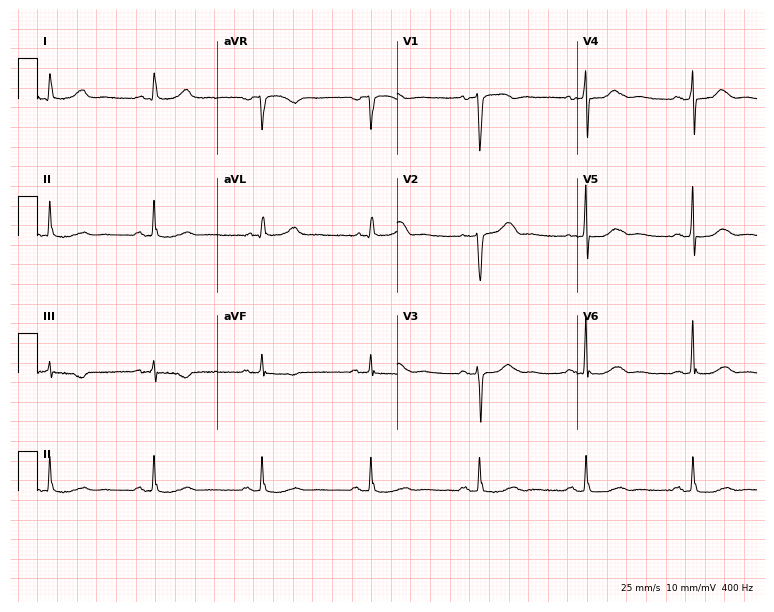
Standard 12-lead ECG recorded from a woman, 62 years old (7.3-second recording at 400 Hz). None of these six findings is recorded: first-degree AV block, right bundle branch block, left bundle branch block, sinus bradycardia, atrial fibrillation, sinus tachycardia.